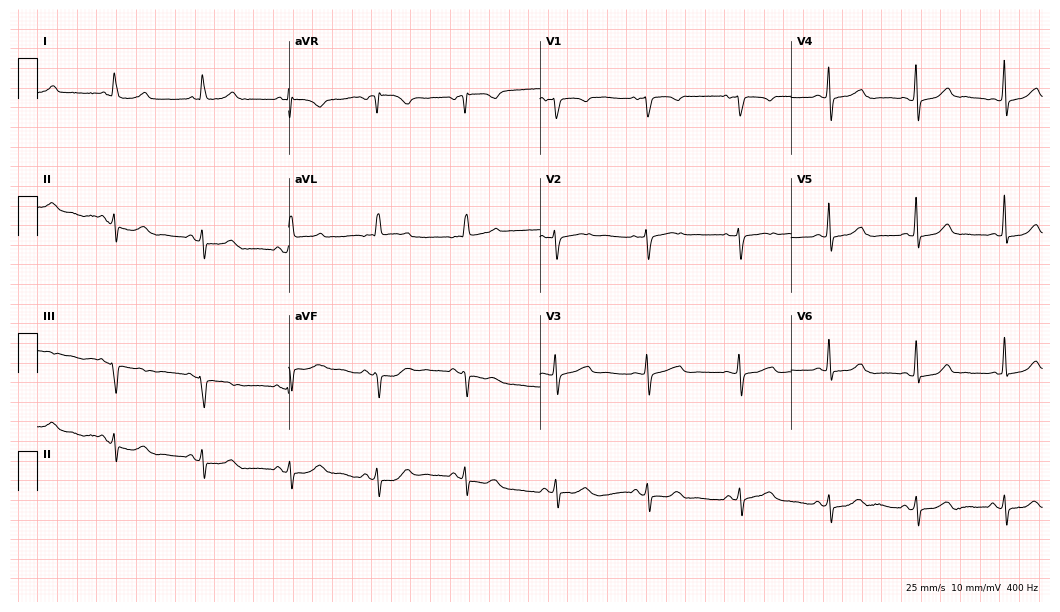
Resting 12-lead electrocardiogram (10.2-second recording at 400 Hz). Patient: a 68-year-old female. None of these six findings is recorded: first-degree AV block, right bundle branch block (RBBB), left bundle branch block (LBBB), sinus bradycardia, atrial fibrillation (AF), sinus tachycardia. Other findings, if any, are not listed.